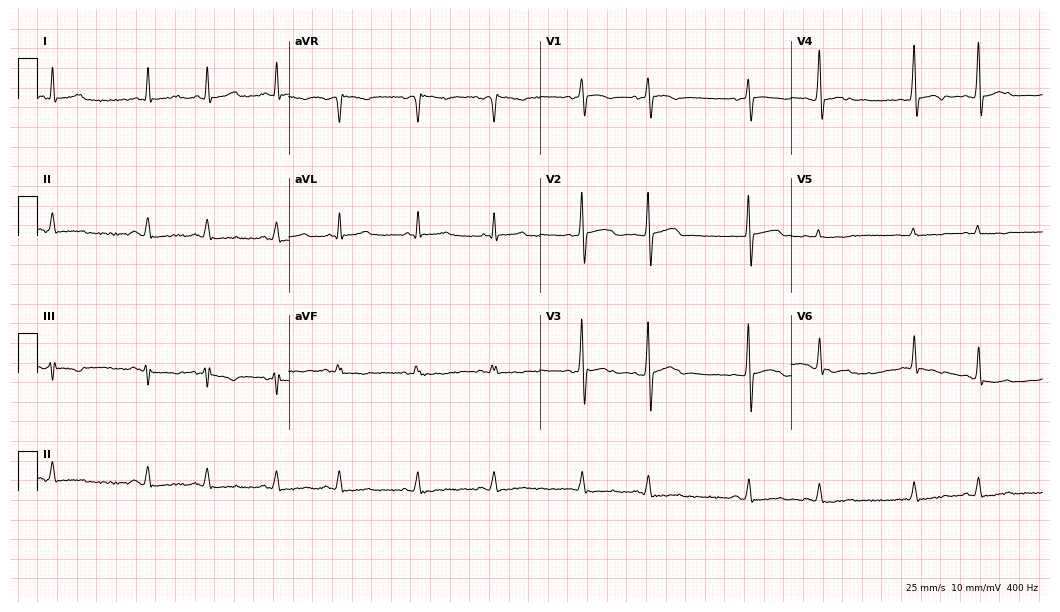
12-lead ECG from a 74-year-old male patient (10.2-second recording at 400 Hz). No first-degree AV block, right bundle branch block (RBBB), left bundle branch block (LBBB), sinus bradycardia, atrial fibrillation (AF) or sinus tachycardia recorded for this tracing. Findings outside these six are not listed.